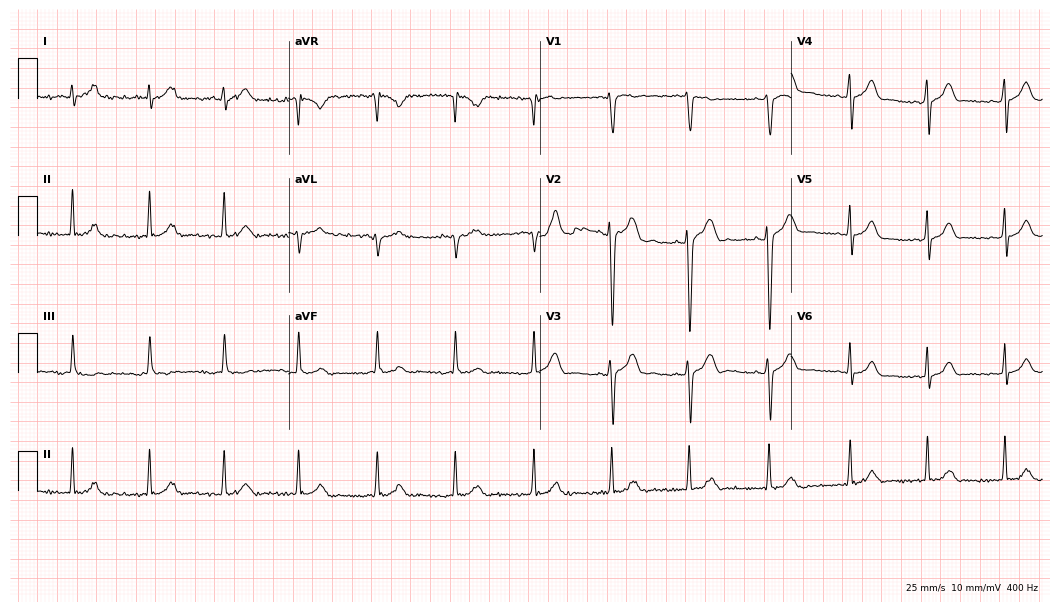
ECG — a 23-year-old female patient. Screened for six findings — first-degree AV block, right bundle branch block, left bundle branch block, sinus bradycardia, atrial fibrillation, sinus tachycardia — none is recorded.